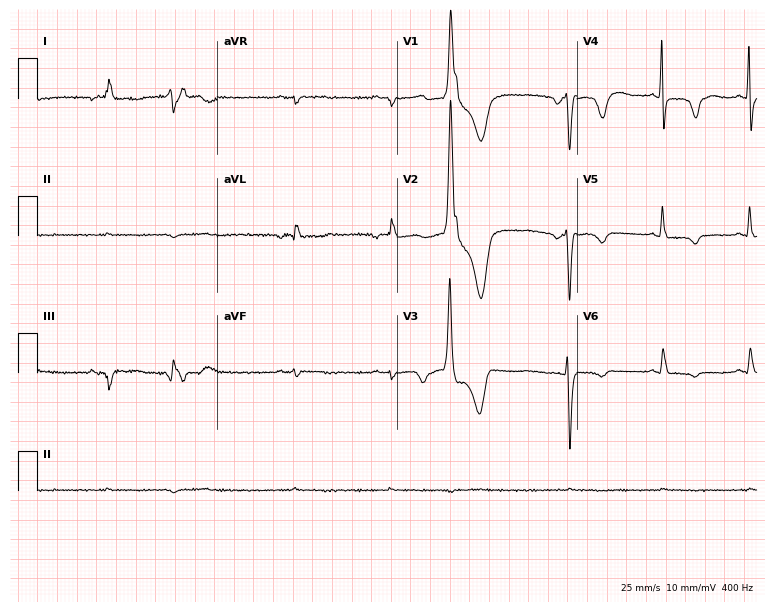
Resting 12-lead electrocardiogram. Patient: a female, 84 years old. None of these six findings is recorded: first-degree AV block, right bundle branch block, left bundle branch block, sinus bradycardia, atrial fibrillation, sinus tachycardia.